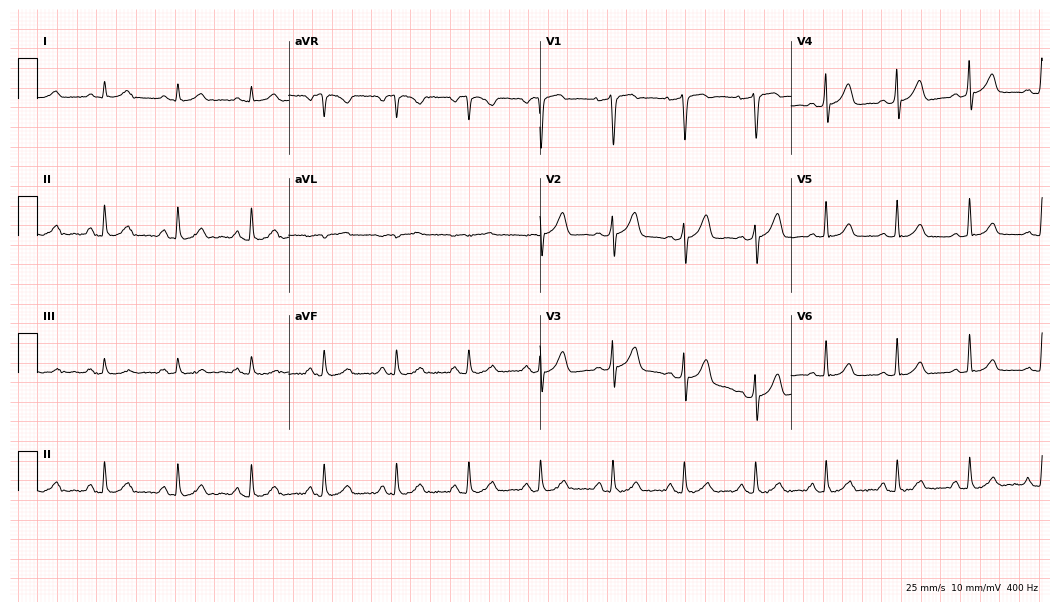
Standard 12-lead ECG recorded from a male patient, 60 years old (10.2-second recording at 400 Hz). Read as a normal ECG.